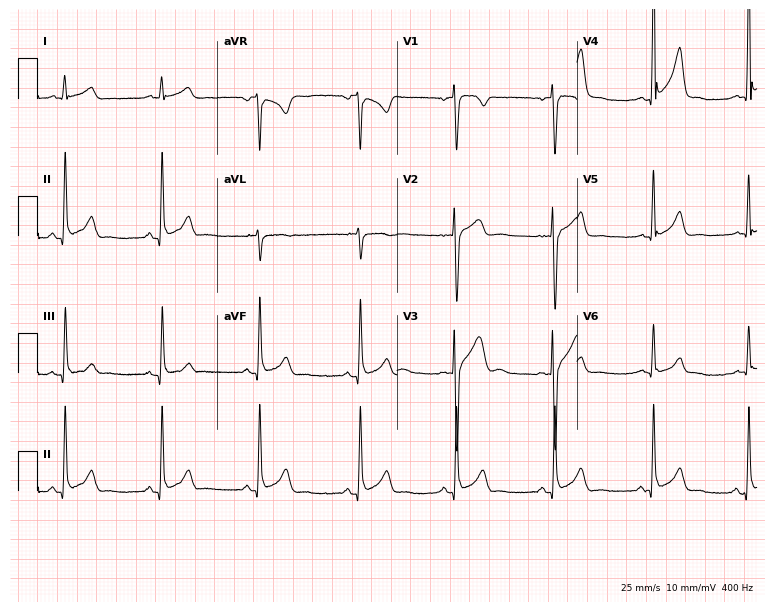
Electrocardiogram, a 39-year-old male. Of the six screened findings (first-degree AV block, right bundle branch block, left bundle branch block, sinus bradycardia, atrial fibrillation, sinus tachycardia), none is recorded.